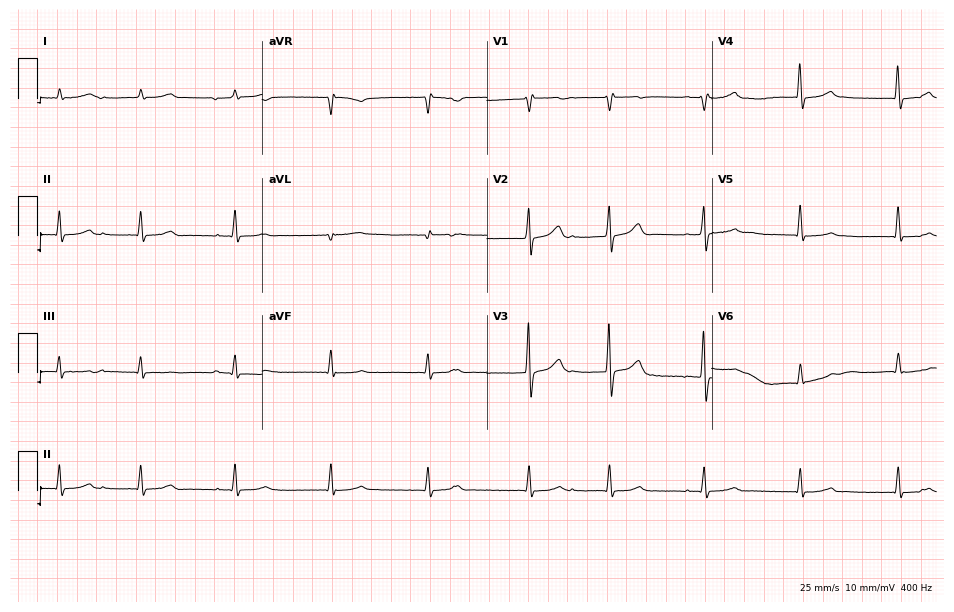
Resting 12-lead electrocardiogram (9.2-second recording at 400 Hz). Patient: a man, 70 years old. None of these six findings is recorded: first-degree AV block, right bundle branch block, left bundle branch block, sinus bradycardia, atrial fibrillation, sinus tachycardia.